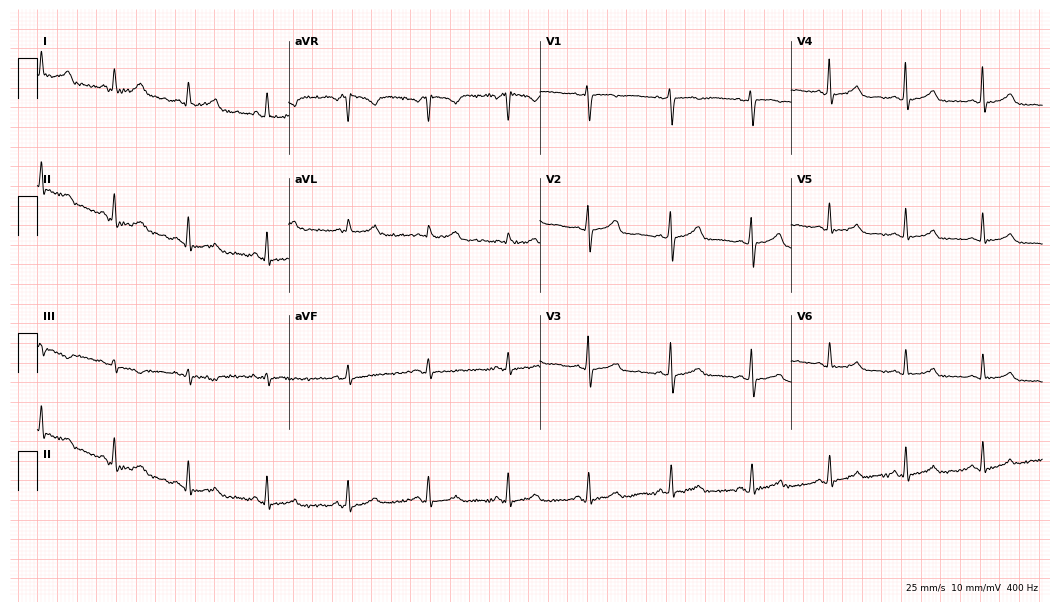
12-lead ECG from a 53-year-old female. Recorded interpretation: within normal limits.